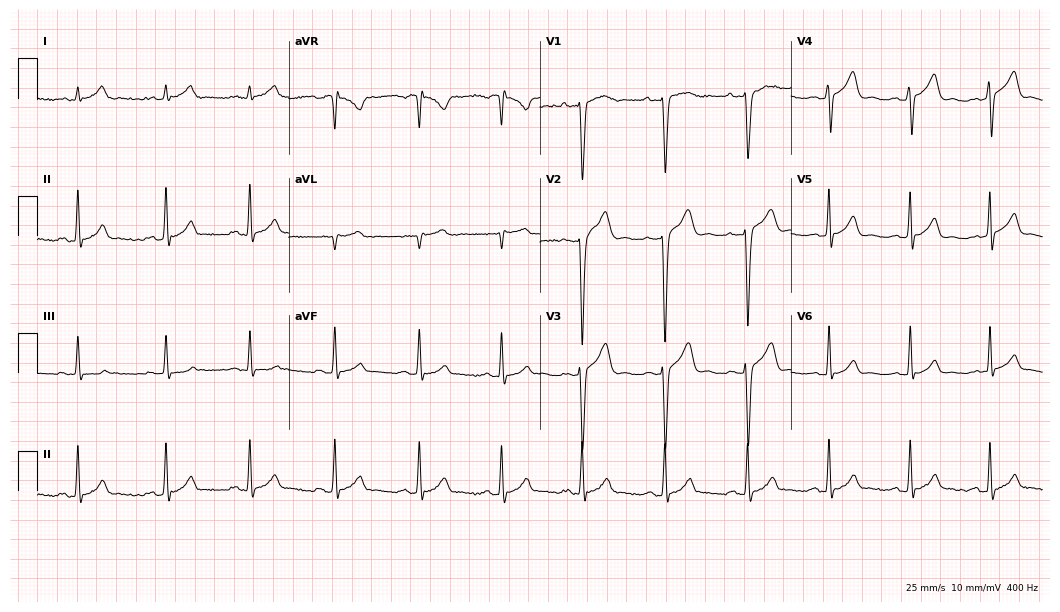
ECG — a male, 20 years old. Labelled as a normal ECG.